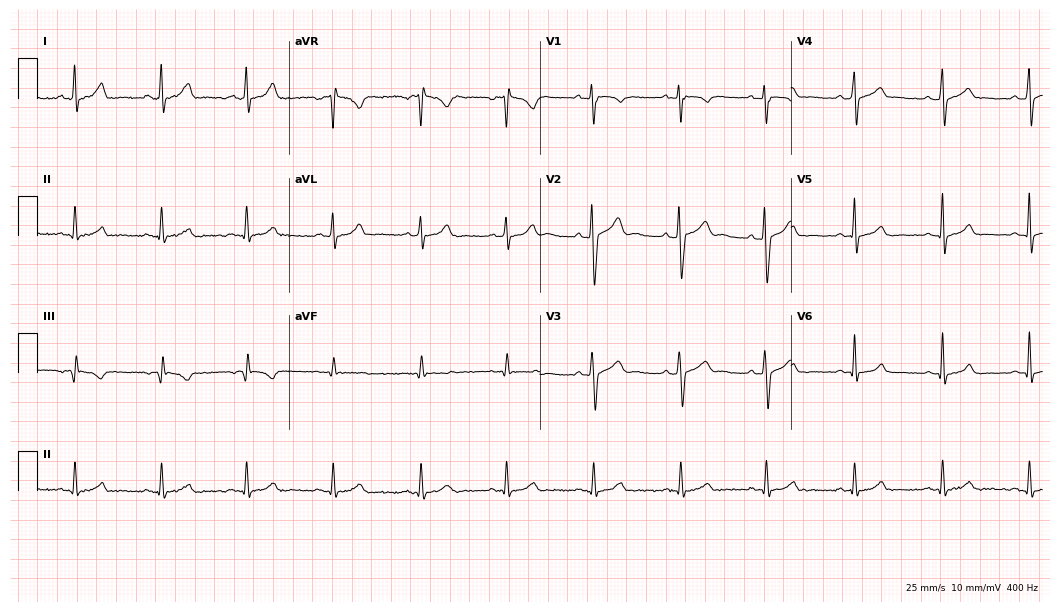
Electrocardiogram (10.2-second recording at 400 Hz), a male patient, 28 years old. Overall reading on record: normal ECG.